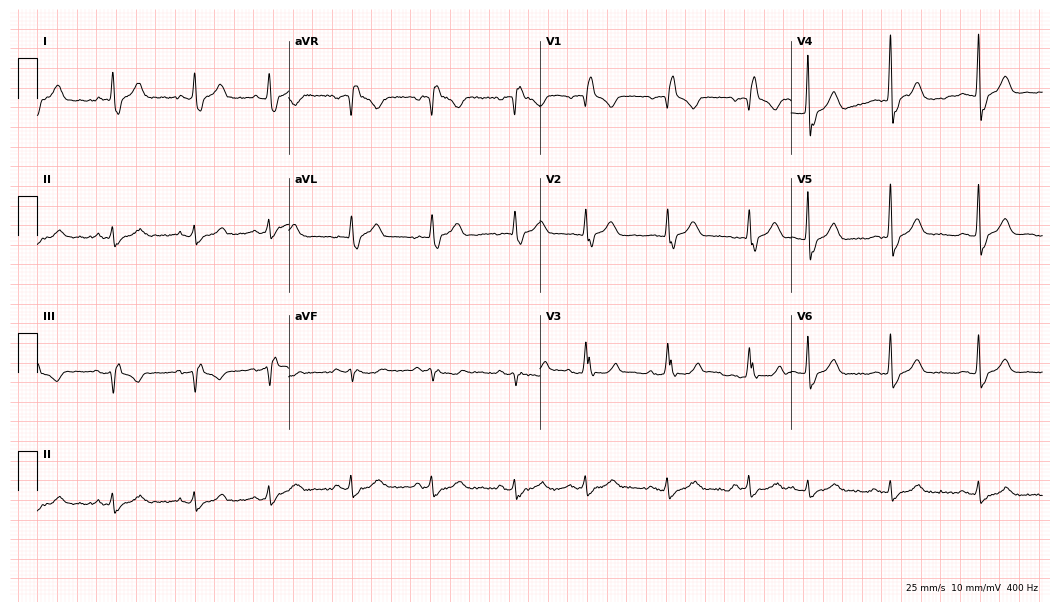
12-lead ECG from an 82-year-old woman. Findings include right bundle branch block (RBBB).